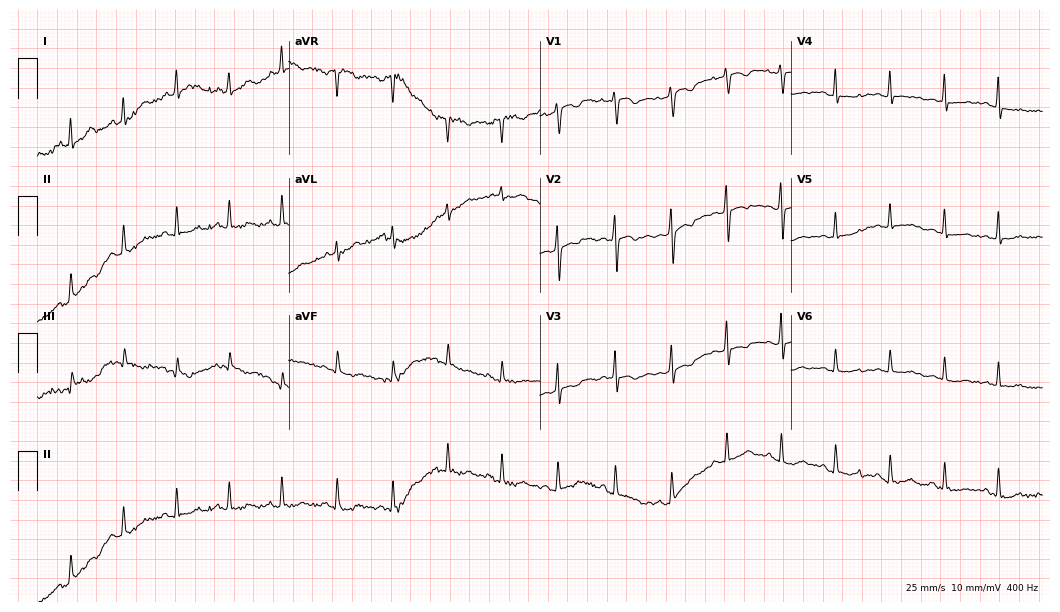
12-lead ECG from a 22-year-old female patient. No first-degree AV block, right bundle branch block, left bundle branch block, sinus bradycardia, atrial fibrillation or sinus tachycardia recorded for this tracing. Other findings, if any, are not listed.